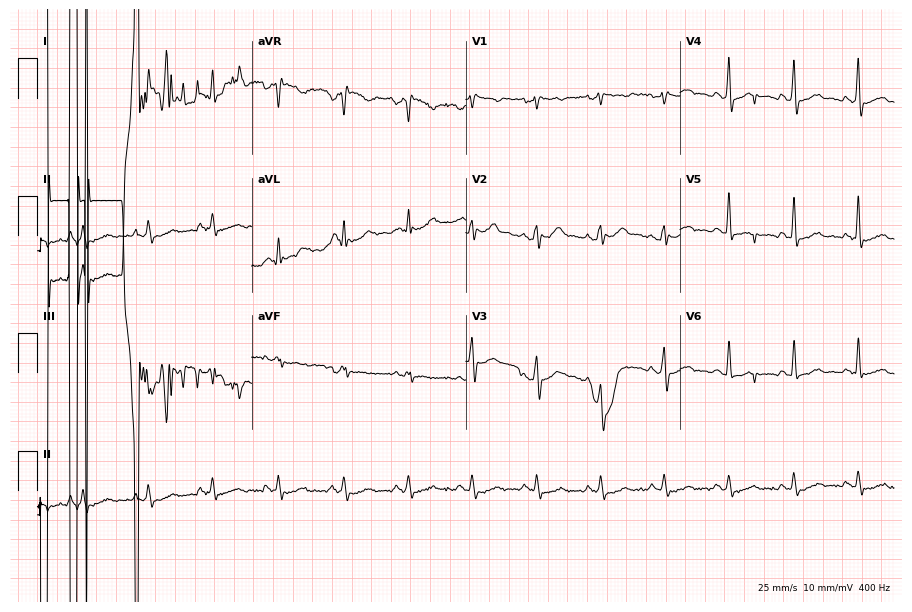
12-lead ECG from a male, 76 years old (8.7-second recording at 400 Hz). No first-degree AV block, right bundle branch block, left bundle branch block, sinus bradycardia, atrial fibrillation or sinus tachycardia recorded for this tracing.